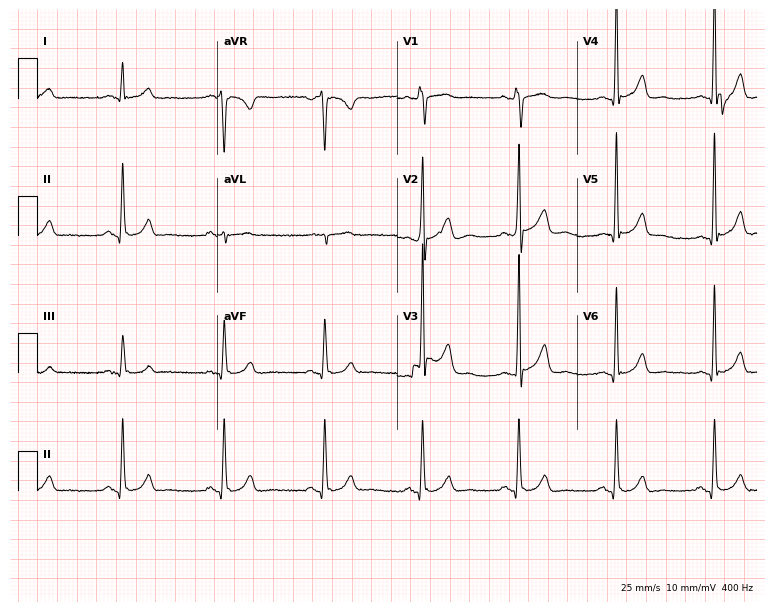
12-lead ECG (7.3-second recording at 400 Hz) from a 46-year-old male patient. Labelled as a normal ECG.